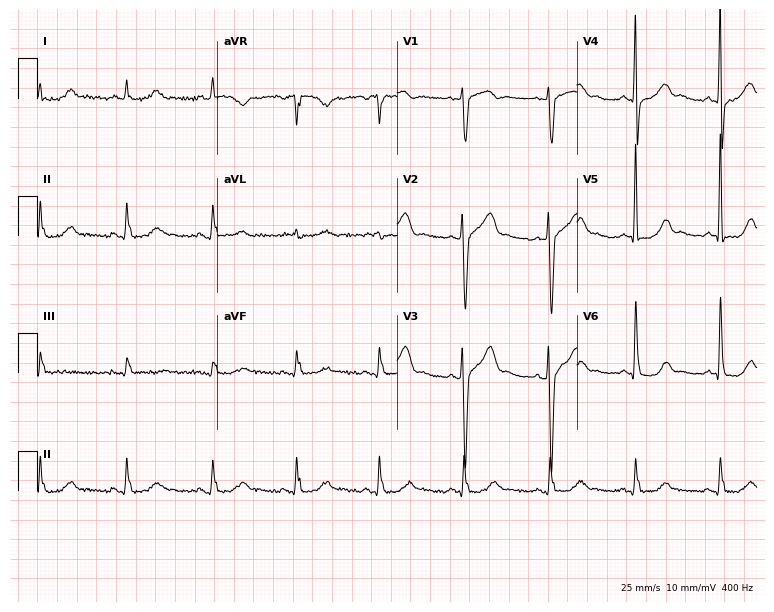
Standard 12-lead ECG recorded from a 69-year-old male. None of these six findings is recorded: first-degree AV block, right bundle branch block (RBBB), left bundle branch block (LBBB), sinus bradycardia, atrial fibrillation (AF), sinus tachycardia.